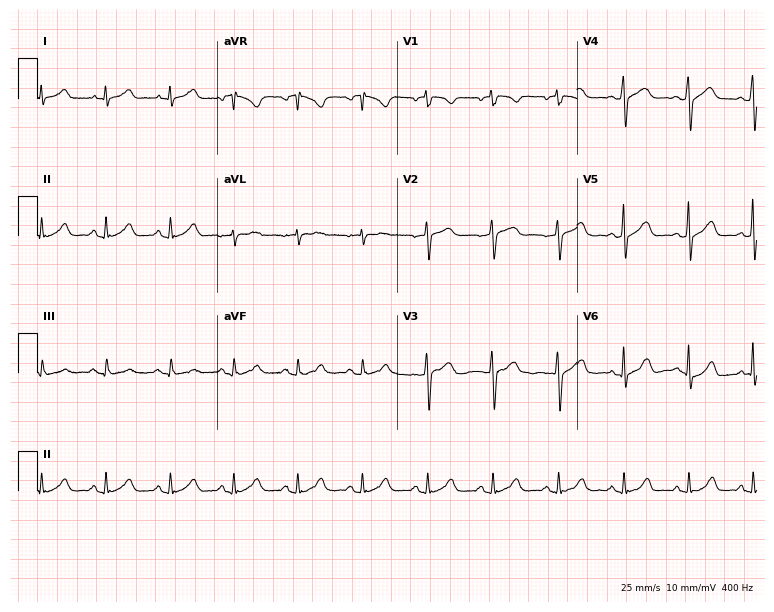
Standard 12-lead ECG recorded from a female, 54 years old (7.3-second recording at 400 Hz). Read as a normal ECG.